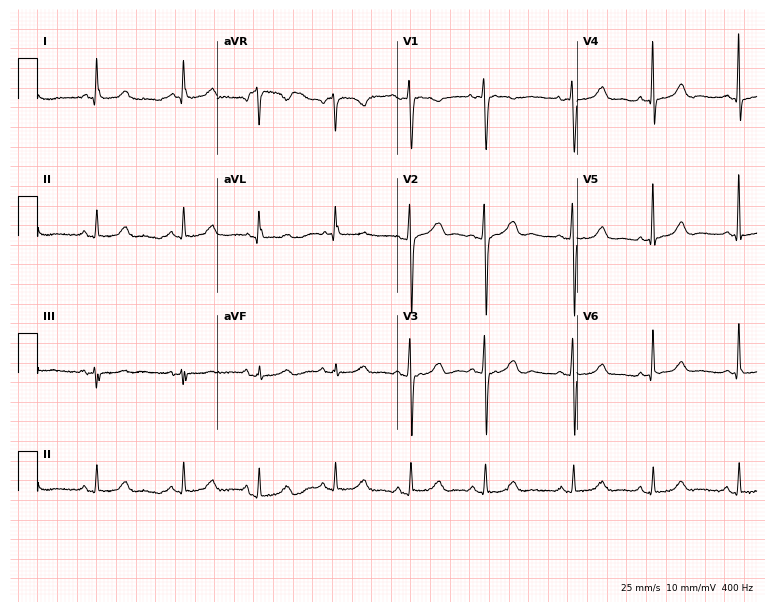
12-lead ECG from an 81-year-old female. Labelled as a normal ECG.